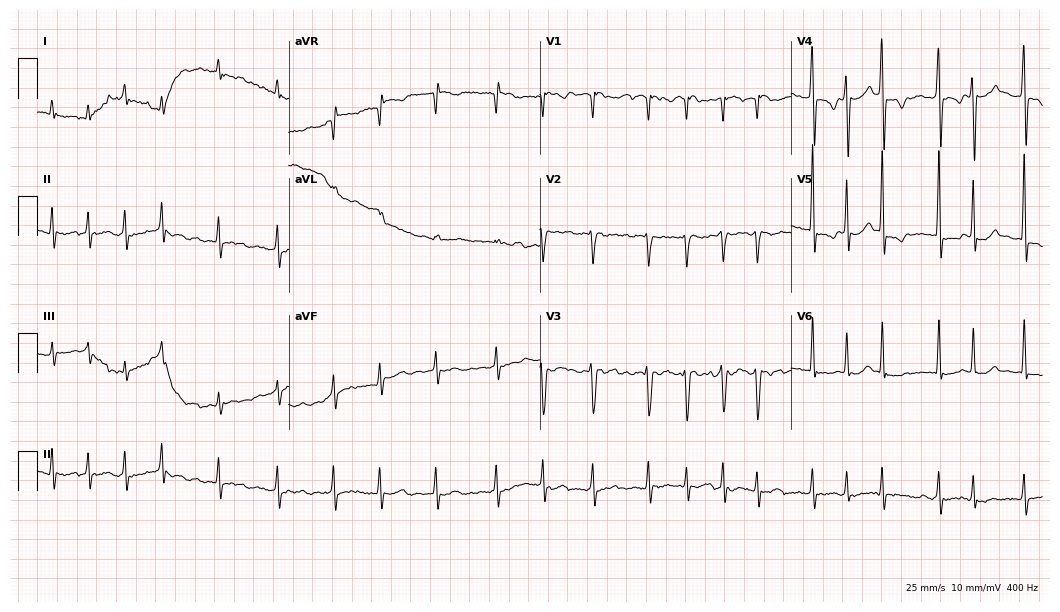
ECG (10.2-second recording at 400 Hz) — a 70-year-old female patient. Screened for six findings — first-degree AV block, right bundle branch block (RBBB), left bundle branch block (LBBB), sinus bradycardia, atrial fibrillation (AF), sinus tachycardia — none is recorded. Only these six findings were labelled.